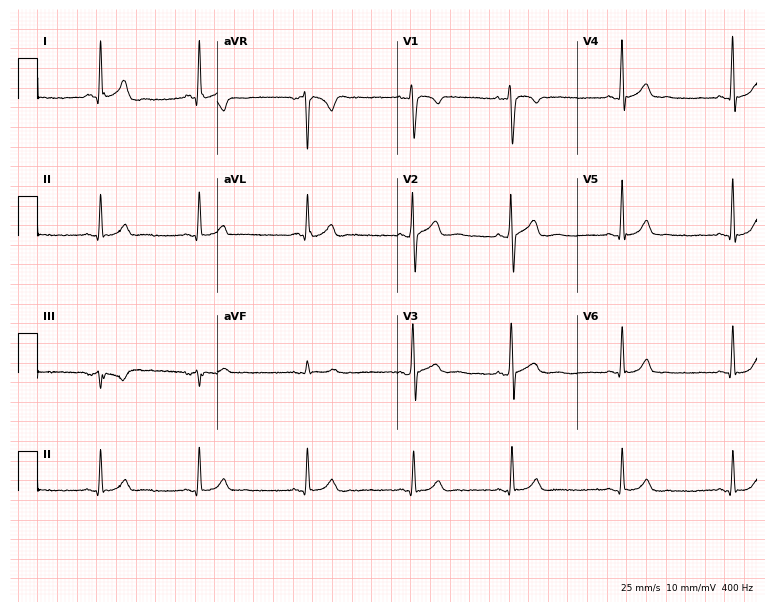
12-lead ECG from a 24-year-old man. Labelled as a normal ECG.